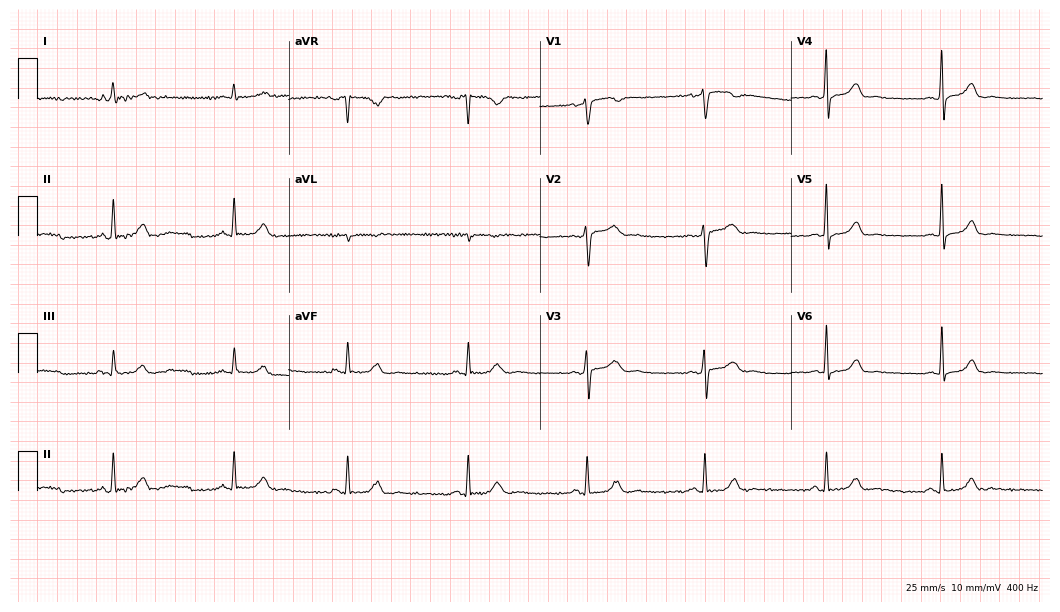
ECG (10.2-second recording at 400 Hz) — a 48-year-old woman. Findings include atrial fibrillation.